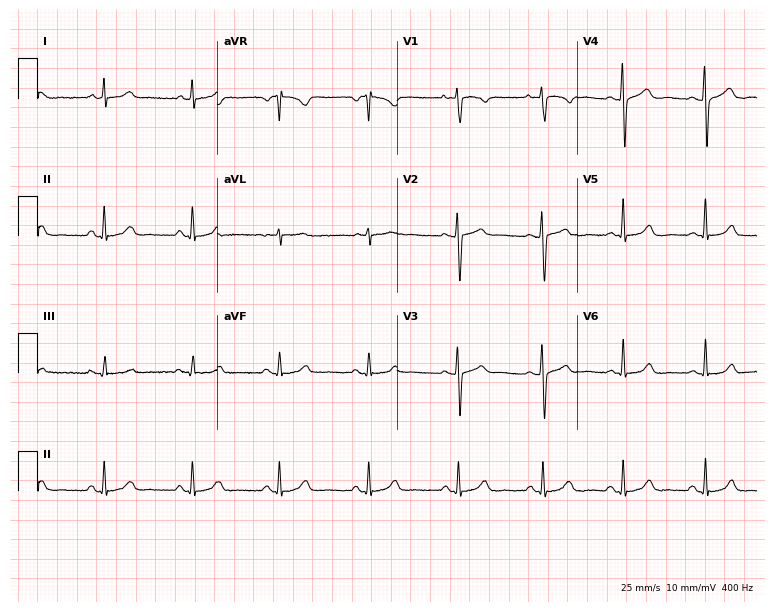
Standard 12-lead ECG recorded from a female, 36 years old. Read as a normal ECG.